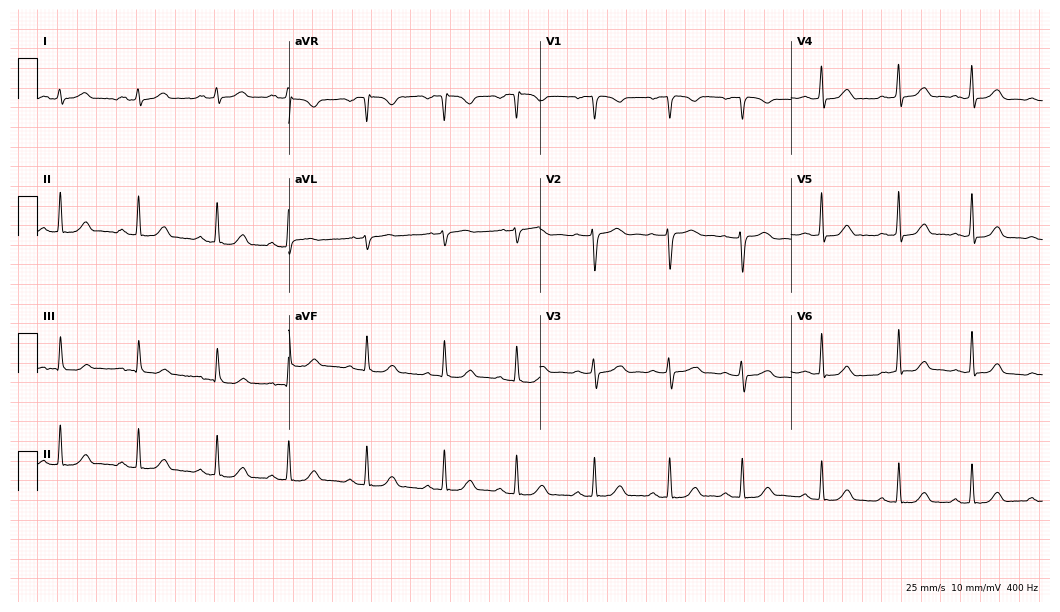
Resting 12-lead electrocardiogram (10.2-second recording at 400 Hz). Patient: a woman, 29 years old. Read as a normal ECG.